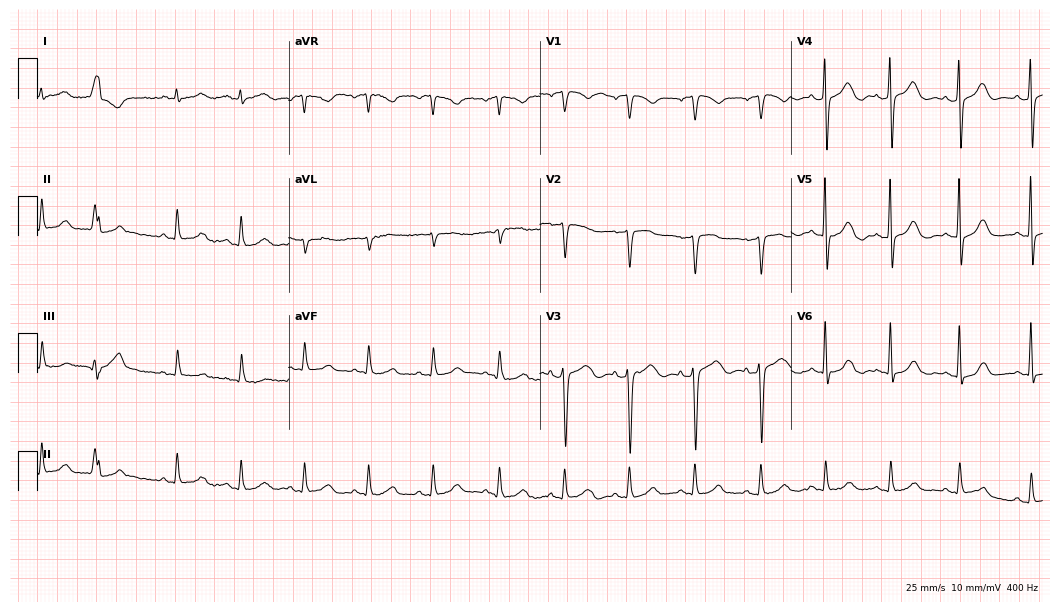
12-lead ECG from a male, 84 years old. No first-degree AV block, right bundle branch block (RBBB), left bundle branch block (LBBB), sinus bradycardia, atrial fibrillation (AF) or sinus tachycardia recorded for this tracing. Other findings, if any, are not listed.